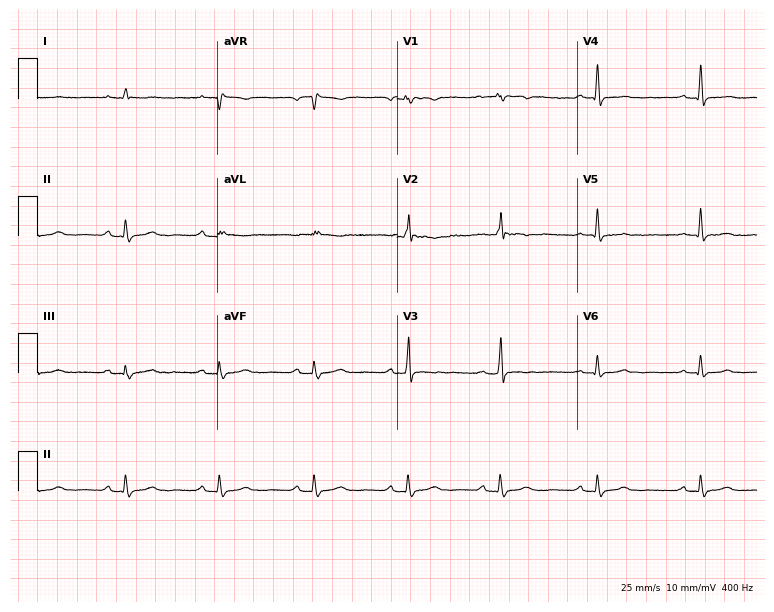
Standard 12-lead ECG recorded from a female, 53 years old (7.3-second recording at 400 Hz). None of these six findings is recorded: first-degree AV block, right bundle branch block, left bundle branch block, sinus bradycardia, atrial fibrillation, sinus tachycardia. Findings outside these six are not listed.